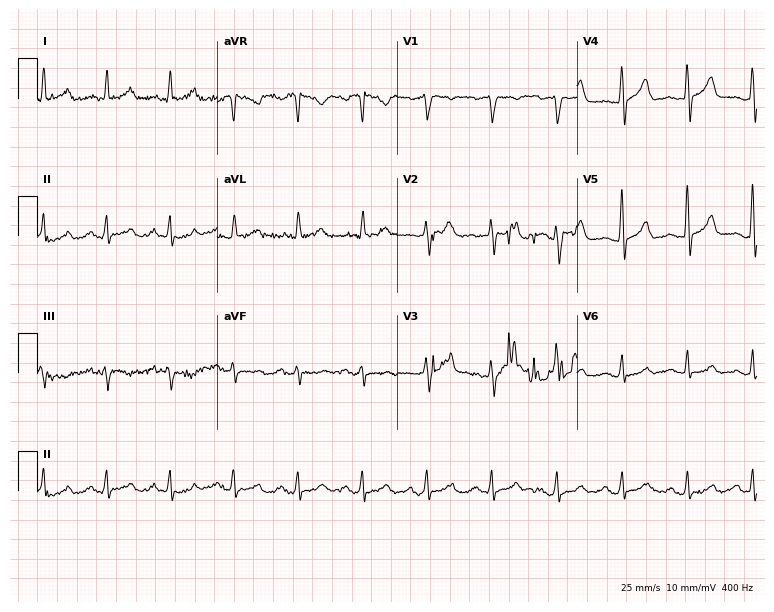
Standard 12-lead ECG recorded from a 66-year-old male. None of these six findings is recorded: first-degree AV block, right bundle branch block, left bundle branch block, sinus bradycardia, atrial fibrillation, sinus tachycardia. Other findings, if any, are not listed.